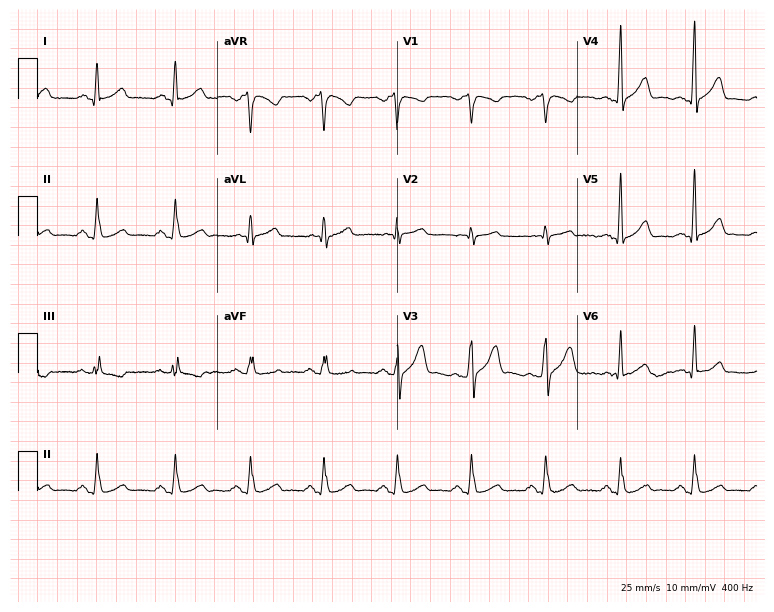
12-lead ECG (7.3-second recording at 400 Hz) from a 33-year-old man. Screened for six findings — first-degree AV block, right bundle branch block, left bundle branch block, sinus bradycardia, atrial fibrillation, sinus tachycardia — none is recorded.